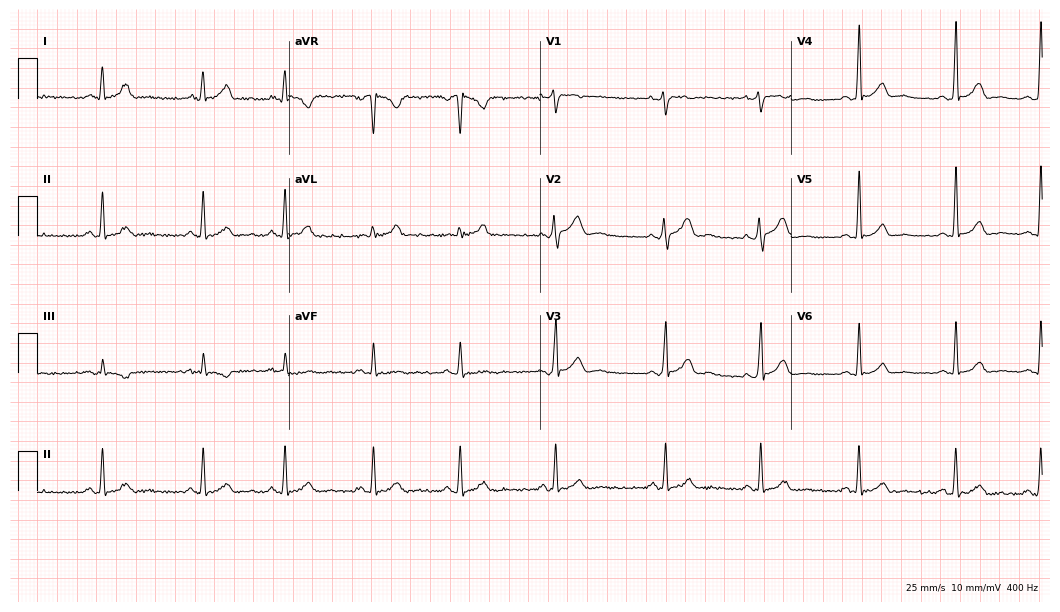
Electrocardiogram, a 31-year-old male. Of the six screened findings (first-degree AV block, right bundle branch block (RBBB), left bundle branch block (LBBB), sinus bradycardia, atrial fibrillation (AF), sinus tachycardia), none is recorded. Only these six findings were labelled.